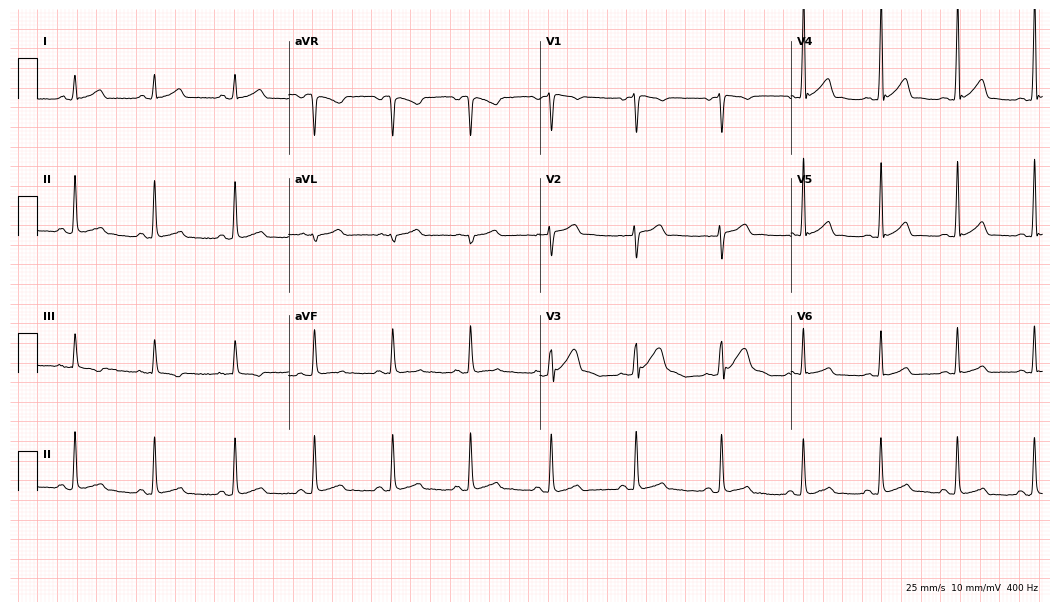
ECG (10.2-second recording at 400 Hz) — a 21-year-old male. Labelled as a normal ECG.